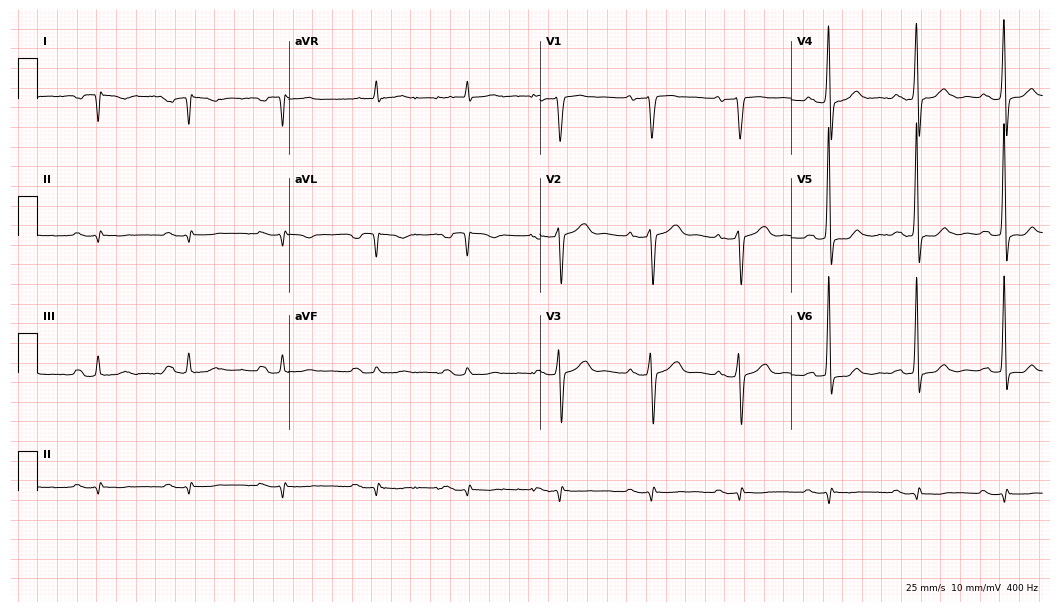
Electrocardiogram (10.2-second recording at 400 Hz), a 63-year-old man. Of the six screened findings (first-degree AV block, right bundle branch block, left bundle branch block, sinus bradycardia, atrial fibrillation, sinus tachycardia), none is recorded. Findings outside these six are not listed.